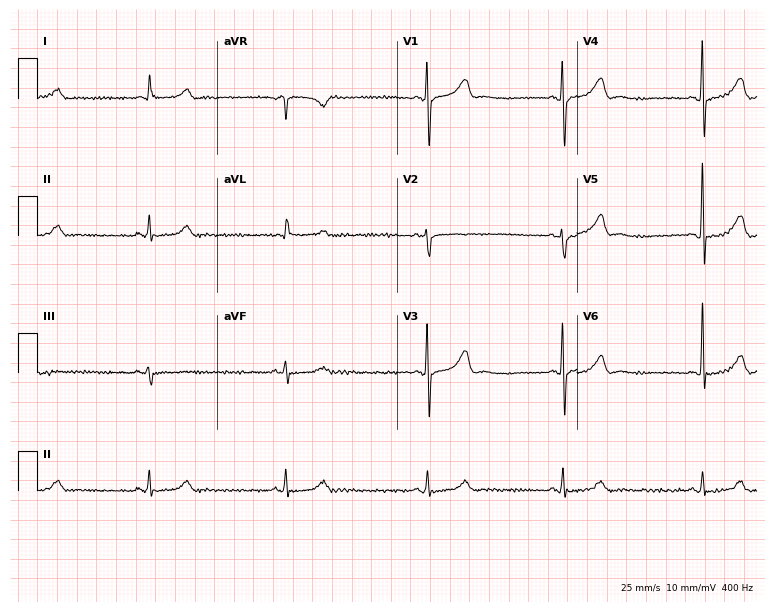
Resting 12-lead electrocardiogram. Patient: a male, 68 years old. The tracing shows sinus bradycardia (a sinus rate of 50 beats per minute or less).